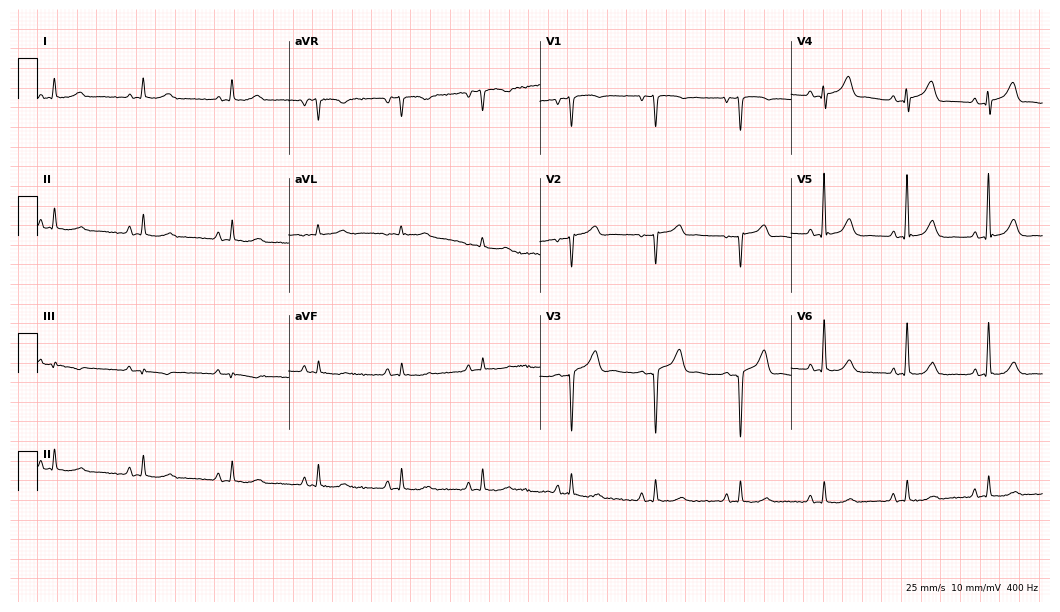
12-lead ECG from a male patient, 69 years old. Labelled as a normal ECG.